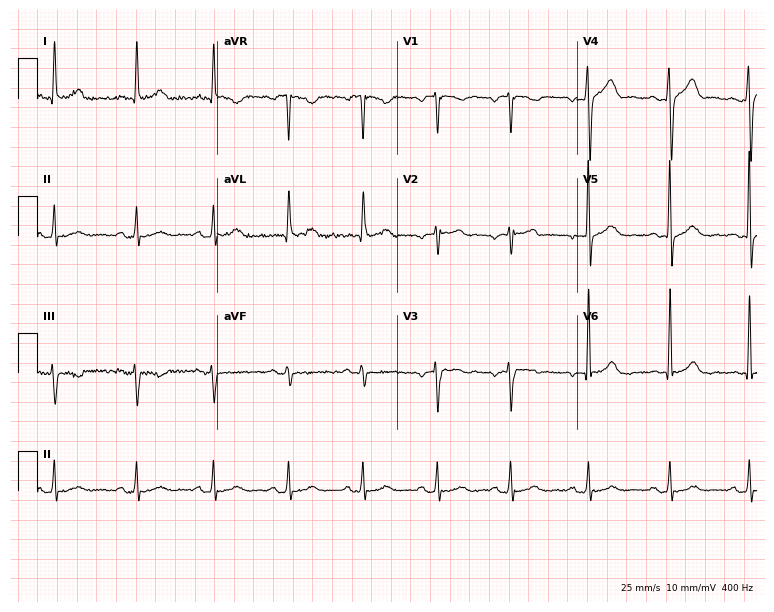
12-lead ECG from a 61-year-old male patient (7.3-second recording at 400 Hz). No first-degree AV block, right bundle branch block (RBBB), left bundle branch block (LBBB), sinus bradycardia, atrial fibrillation (AF) or sinus tachycardia recorded for this tracing. Only these six findings were labelled.